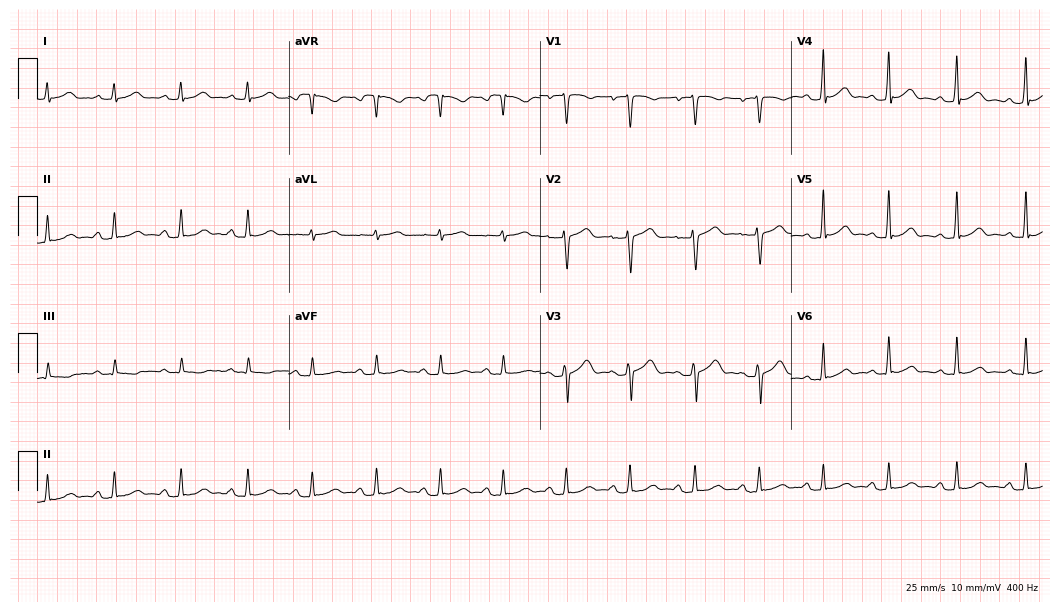
Electrocardiogram, a woman, 20 years old. Overall reading on record: normal ECG.